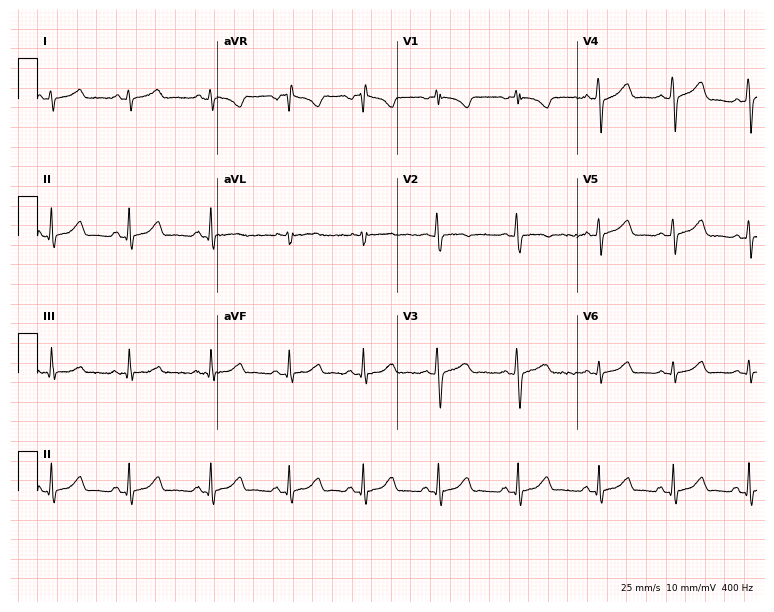
Electrocardiogram (7.3-second recording at 400 Hz), a woman, 26 years old. Overall reading on record: normal ECG.